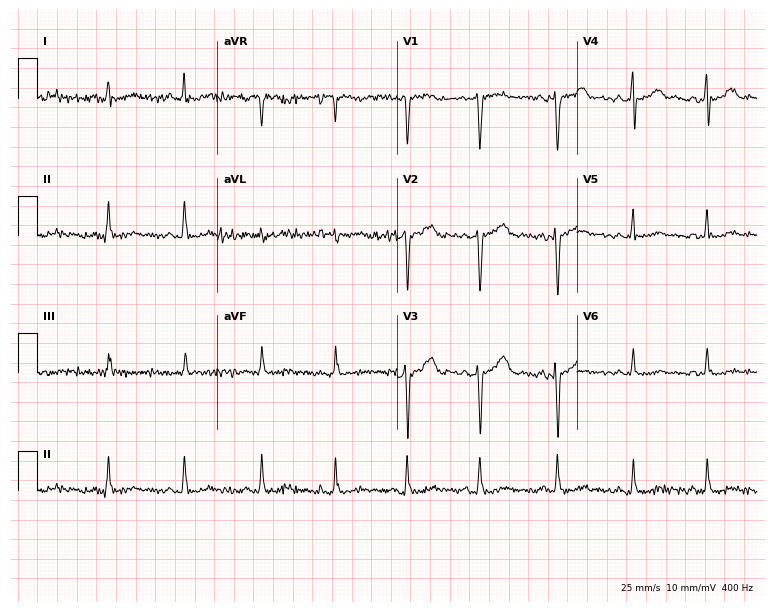
Electrocardiogram, a 50-year-old female. Of the six screened findings (first-degree AV block, right bundle branch block, left bundle branch block, sinus bradycardia, atrial fibrillation, sinus tachycardia), none is recorded.